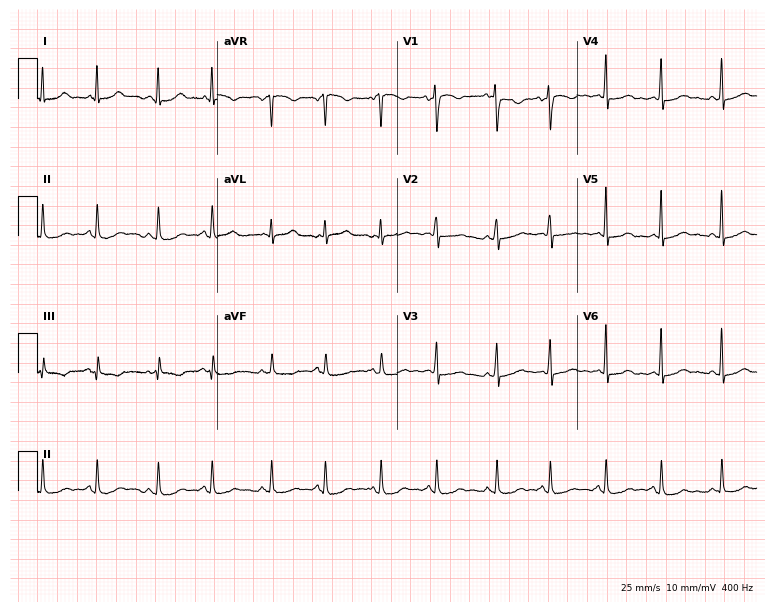
Resting 12-lead electrocardiogram. Patient: a 33-year-old female. None of these six findings is recorded: first-degree AV block, right bundle branch block, left bundle branch block, sinus bradycardia, atrial fibrillation, sinus tachycardia. Other findings, if any, are not listed.